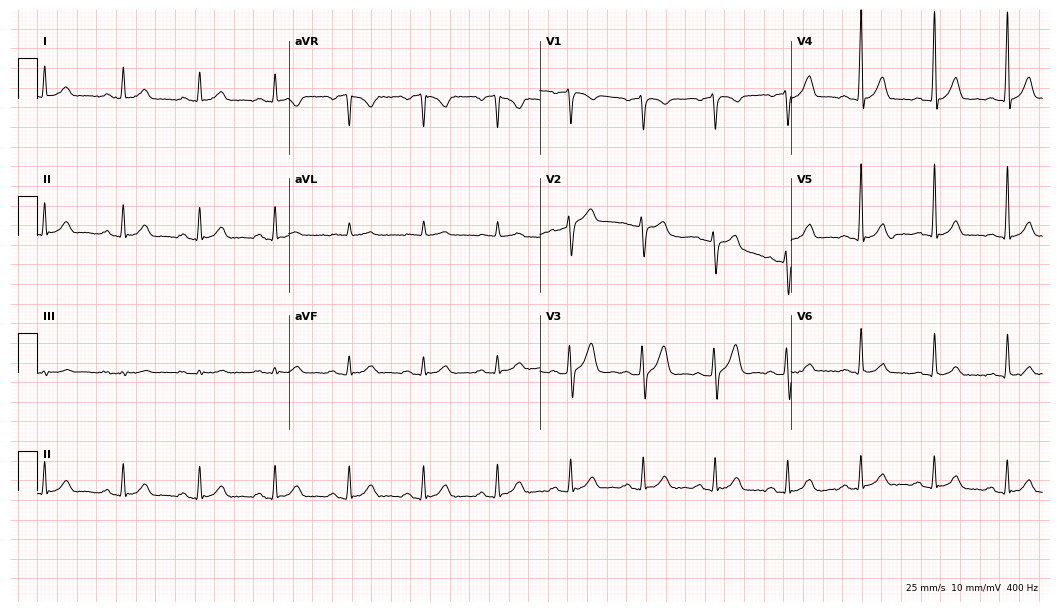
12-lead ECG from a male patient, 51 years old. Labelled as a normal ECG.